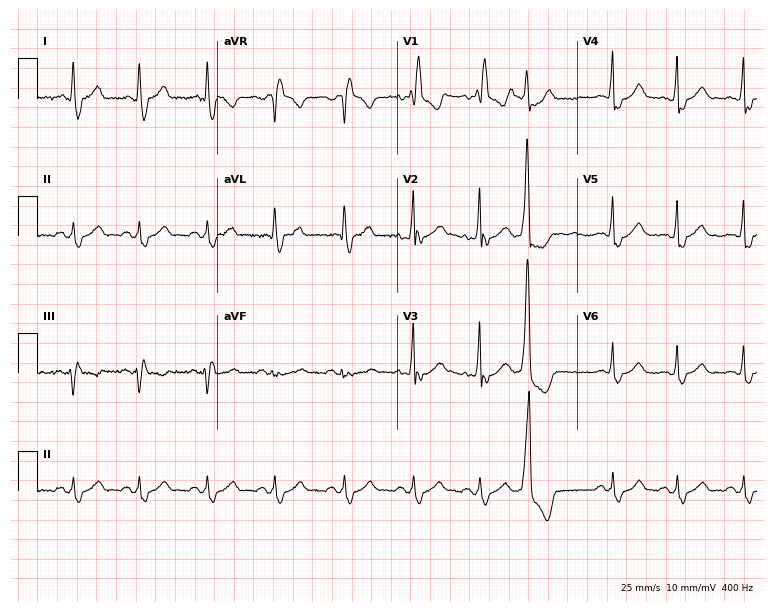
12-lead ECG from a 74-year-old female patient (7.3-second recording at 400 Hz). Shows right bundle branch block.